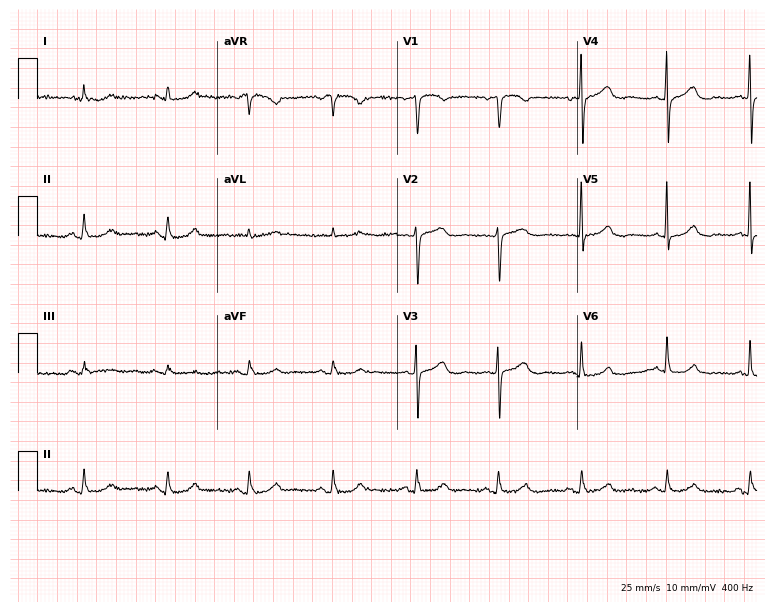
Resting 12-lead electrocardiogram. Patient: a 68-year-old female. Read as a normal ECG.